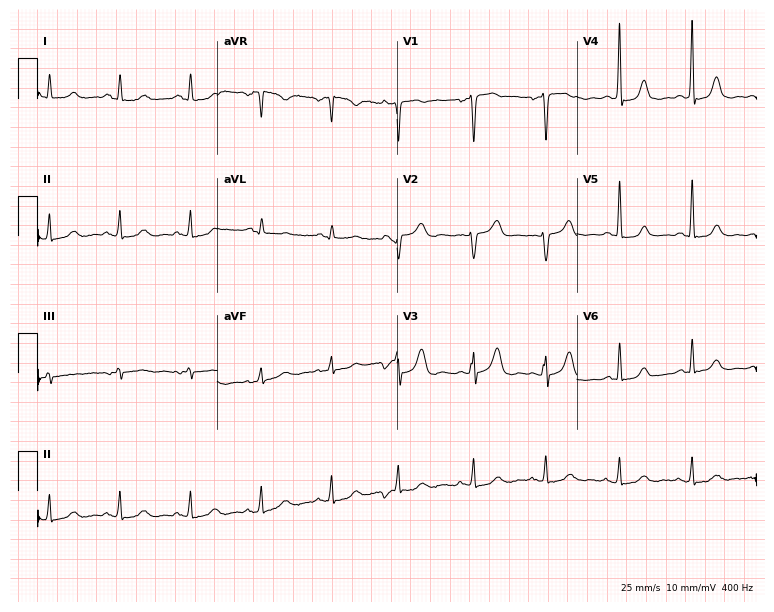
Standard 12-lead ECG recorded from a 39-year-old woman. None of these six findings is recorded: first-degree AV block, right bundle branch block, left bundle branch block, sinus bradycardia, atrial fibrillation, sinus tachycardia. Only these six findings were labelled.